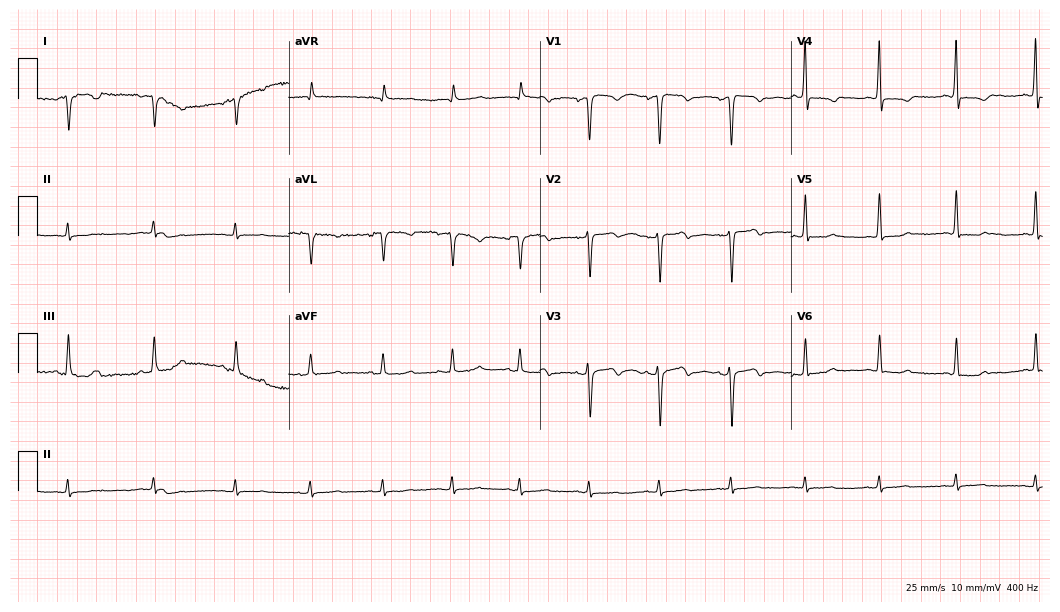
Standard 12-lead ECG recorded from a female, 52 years old (10.2-second recording at 400 Hz). None of these six findings is recorded: first-degree AV block, right bundle branch block, left bundle branch block, sinus bradycardia, atrial fibrillation, sinus tachycardia. Other findings, if any, are not listed.